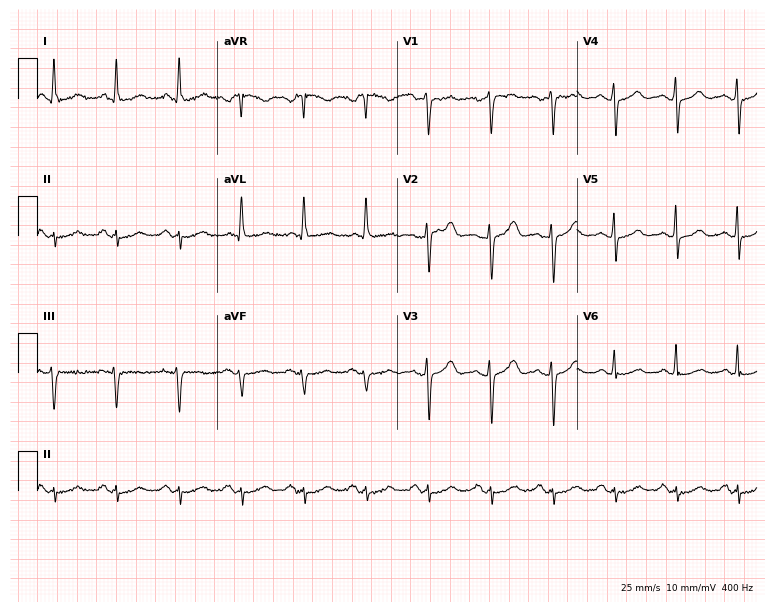
Standard 12-lead ECG recorded from a 57-year-old female (7.3-second recording at 400 Hz). None of these six findings is recorded: first-degree AV block, right bundle branch block, left bundle branch block, sinus bradycardia, atrial fibrillation, sinus tachycardia.